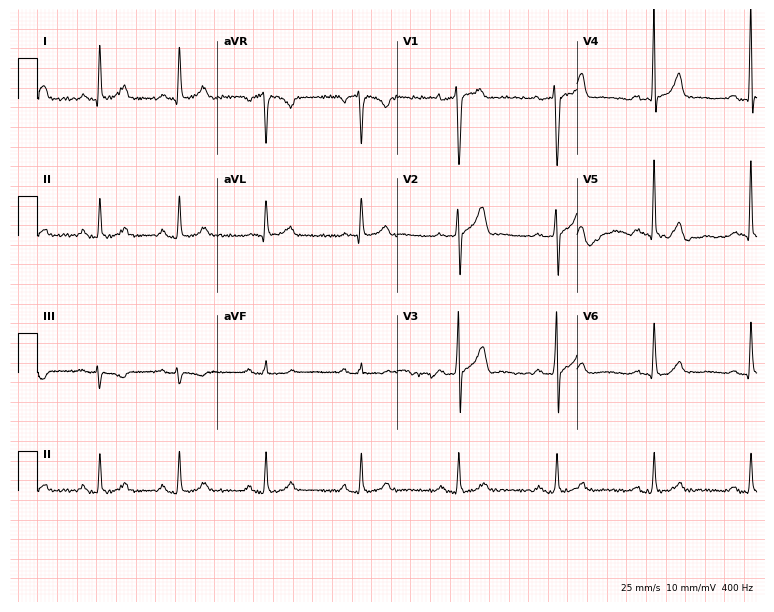
Standard 12-lead ECG recorded from a 55-year-old man. None of these six findings is recorded: first-degree AV block, right bundle branch block (RBBB), left bundle branch block (LBBB), sinus bradycardia, atrial fibrillation (AF), sinus tachycardia. Other findings, if any, are not listed.